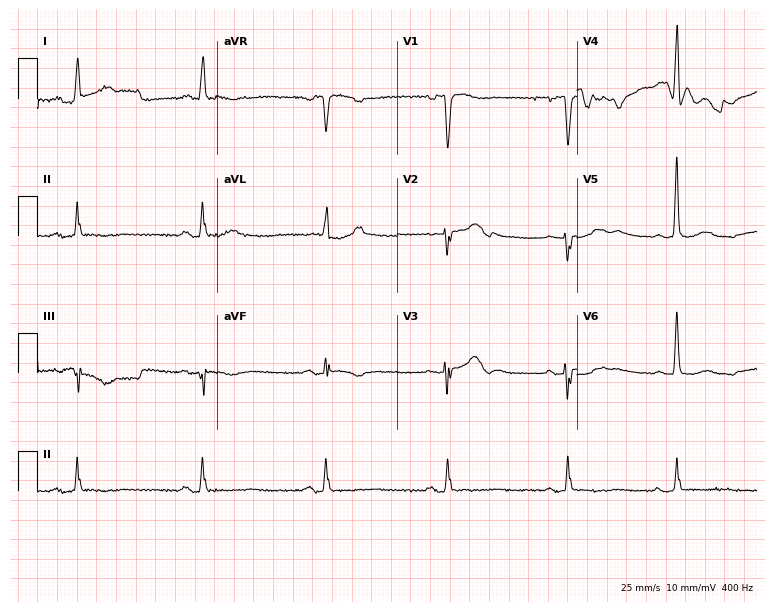
Standard 12-lead ECG recorded from an 81-year-old female (7.3-second recording at 400 Hz). The tracing shows first-degree AV block, sinus bradycardia (a sinus rate of 50 beats per minute or less).